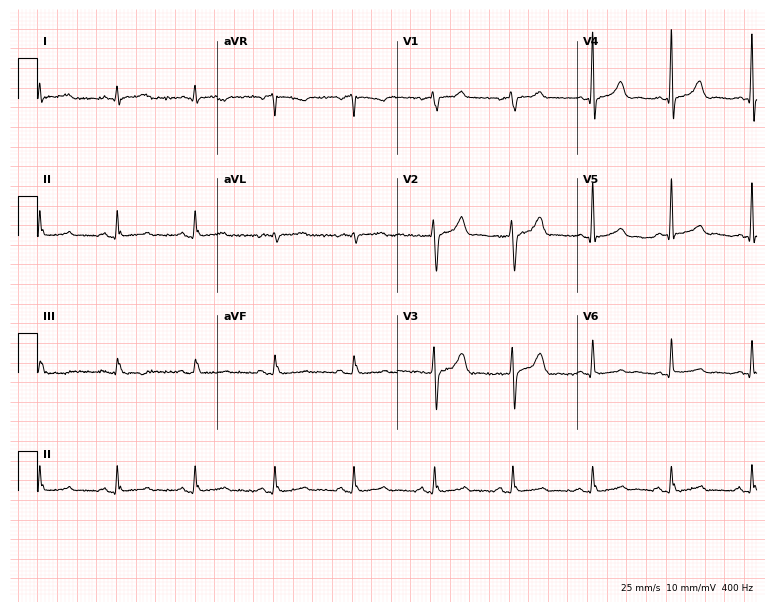
12-lead ECG from a male, 64 years old (7.3-second recording at 400 Hz). No first-degree AV block, right bundle branch block, left bundle branch block, sinus bradycardia, atrial fibrillation or sinus tachycardia recorded for this tracing.